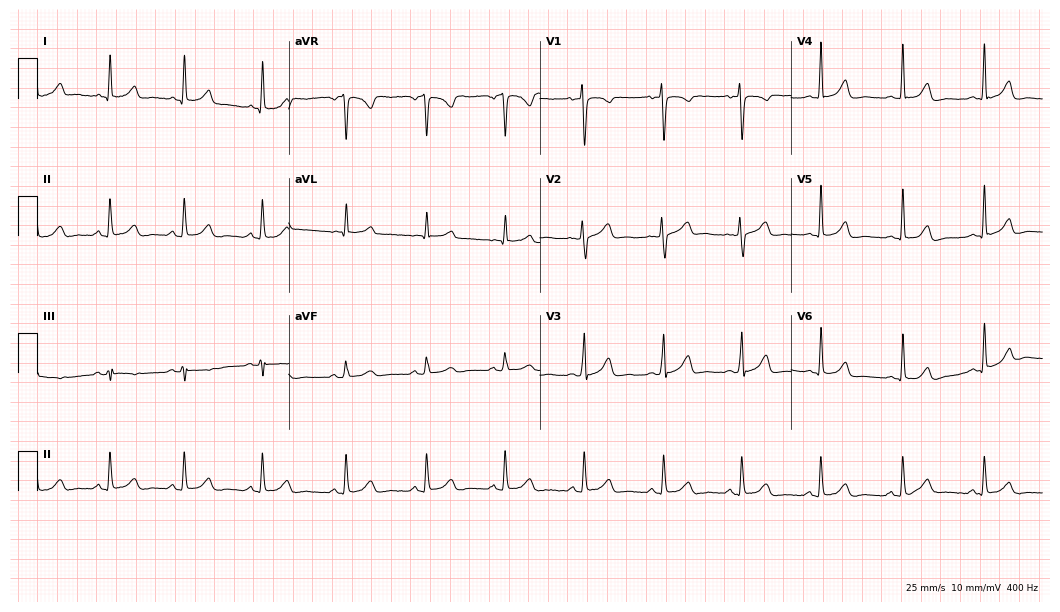
12-lead ECG from a female patient, 40 years old. Labelled as a normal ECG.